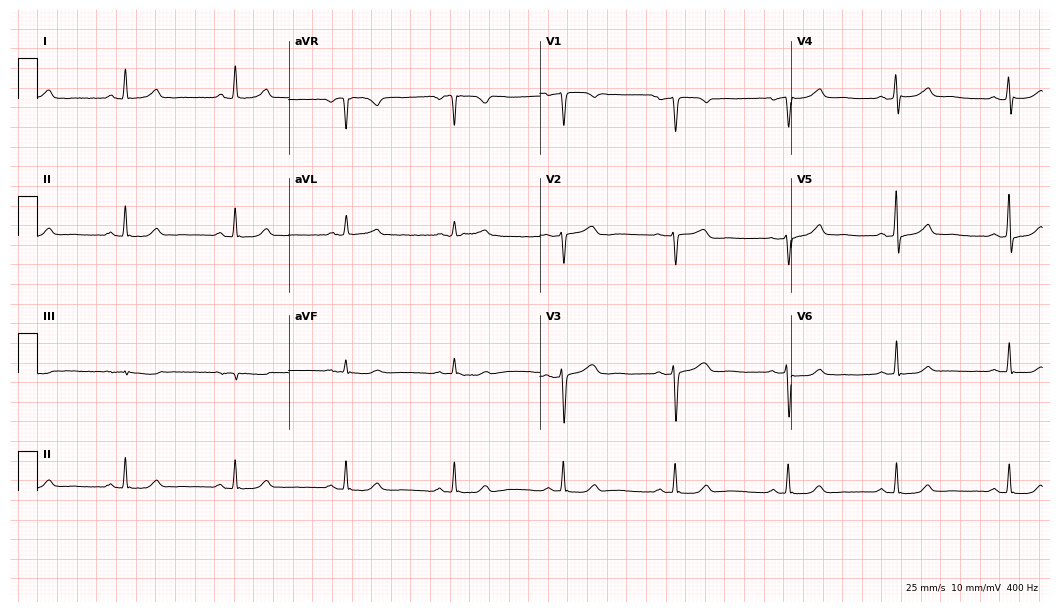
Standard 12-lead ECG recorded from a female patient, 60 years old. Read as a normal ECG.